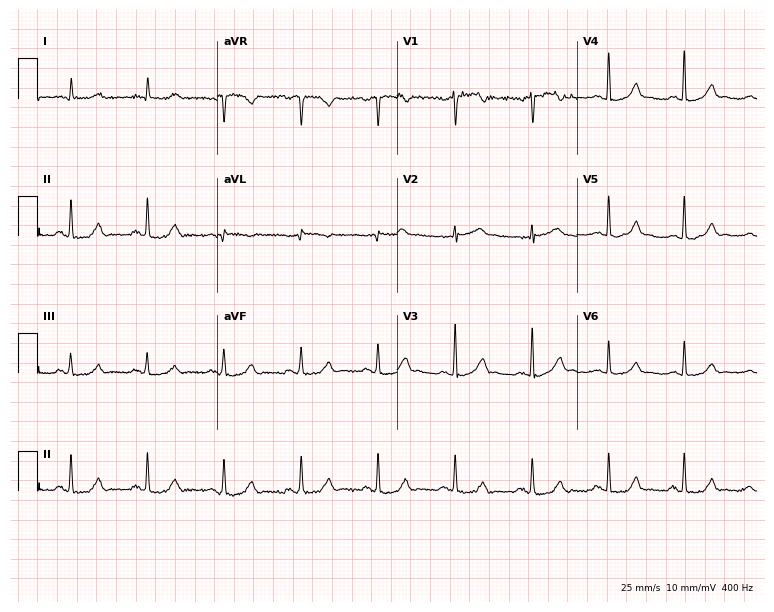
12-lead ECG from an 80-year-old male. No first-degree AV block, right bundle branch block (RBBB), left bundle branch block (LBBB), sinus bradycardia, atrial fibrillation (AF) or sinus tachycardia recorded for this tracing. Findings outside these six are not listed.